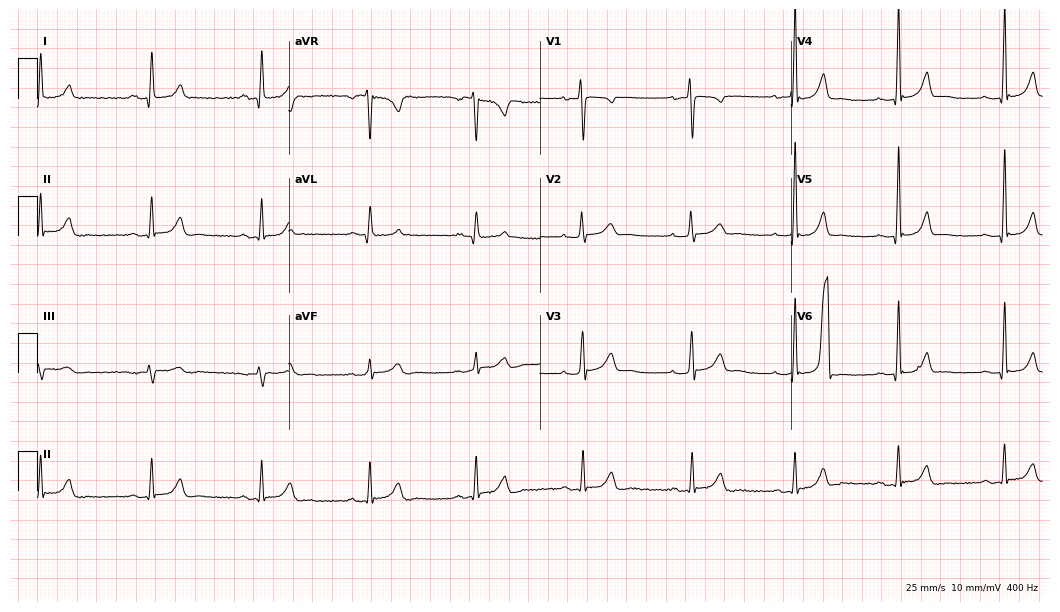
Electrocardiogram, a 43-year-old female patient. Overall reading on record: normal ECG.